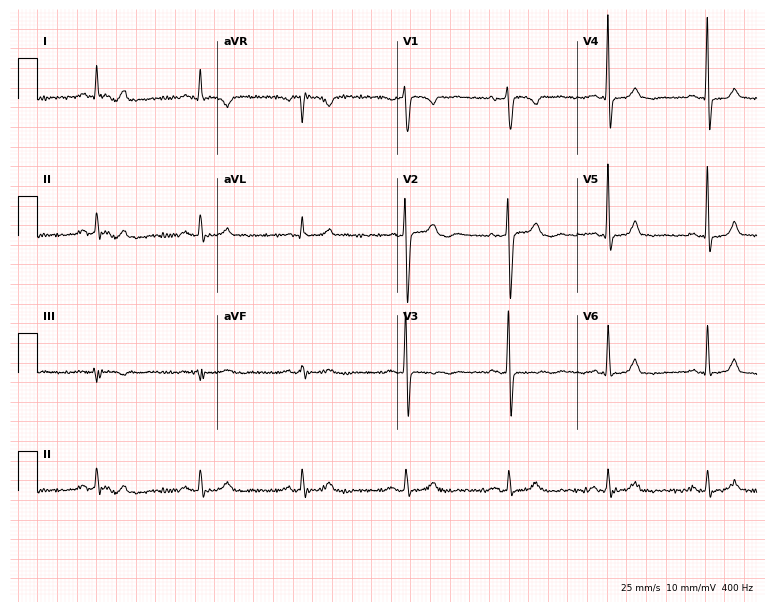
12-lead ECG from a man, 58 years old. Recorded interpretation: within normal limits.